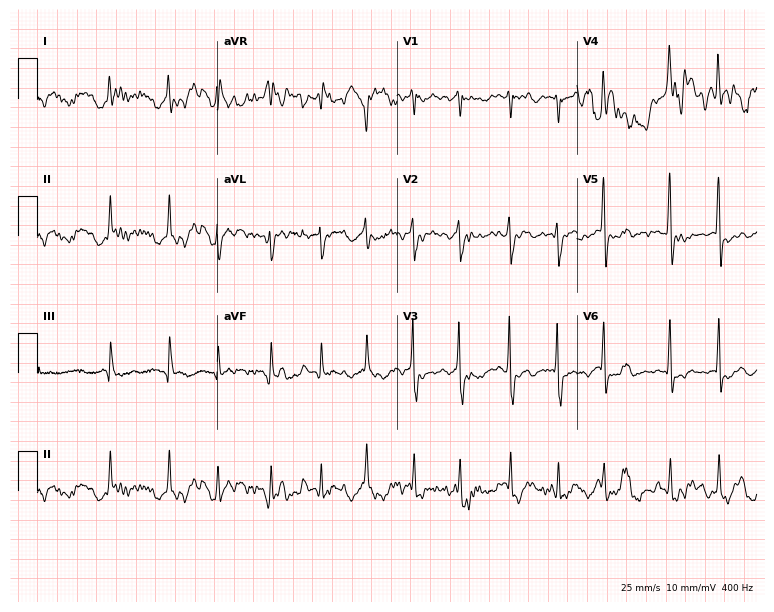
Electrocardiogram, a 42-year-old female. Interpretation includes atrial fibrillation.